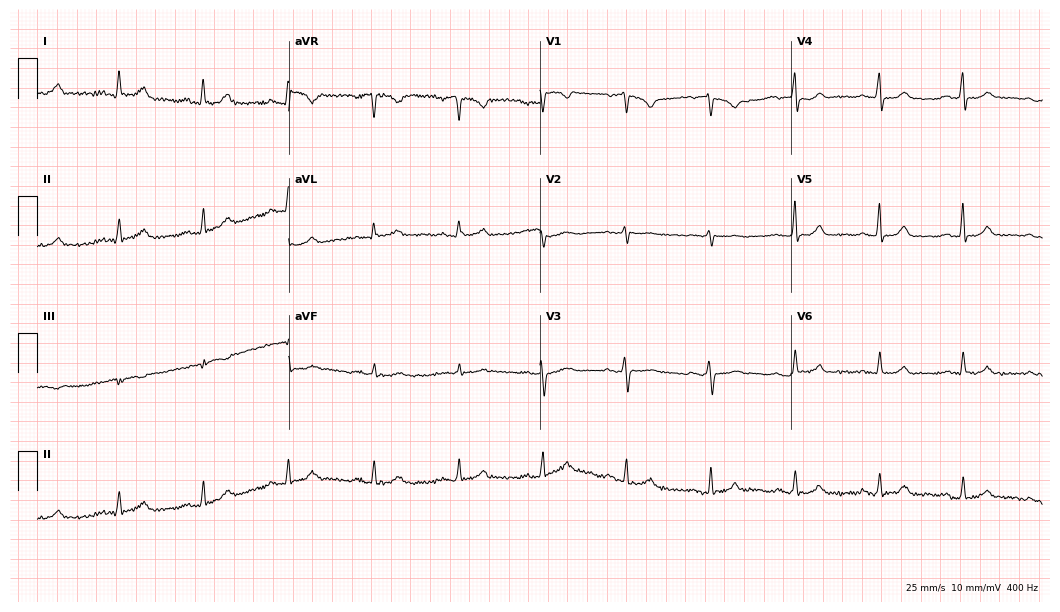
ECG (10.2-second recording at 400 Hz) — a 51-year-old female patient. Labelled as a normal ECG.